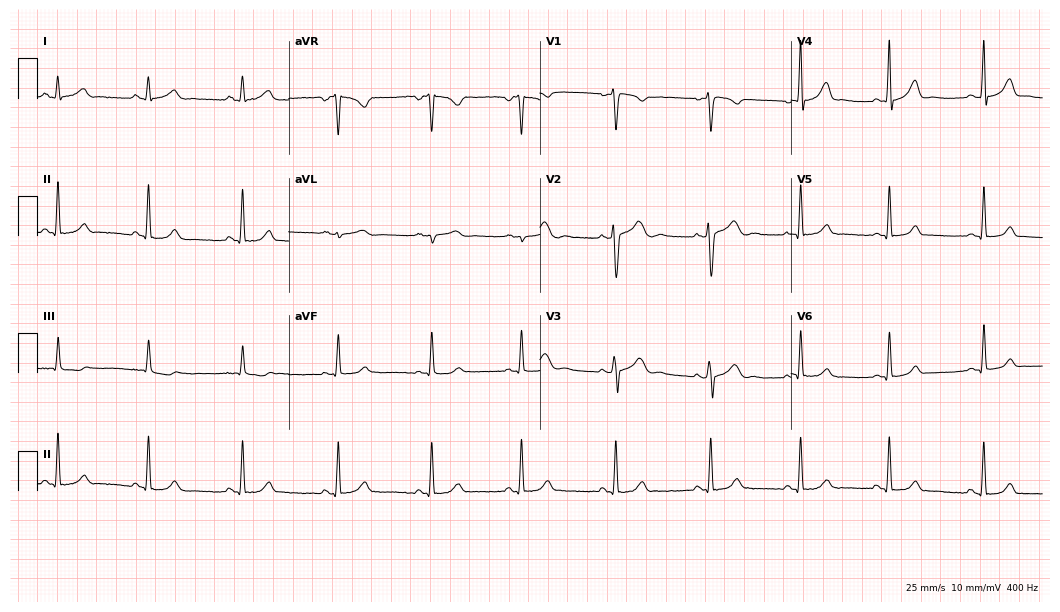
Electrocardiogram (10.2-second recording at 400 Hz), a female, 36 years old. Overall reading on record: normal ECG.